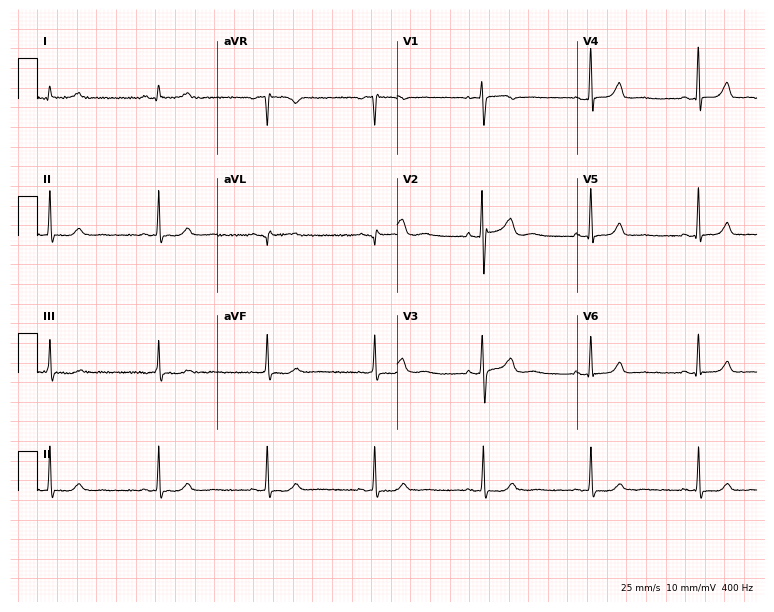
Electrocardiogram (7.3-second recording at 400 Hz), a woman, 47 years old. Overall reading on record: normal ECG.